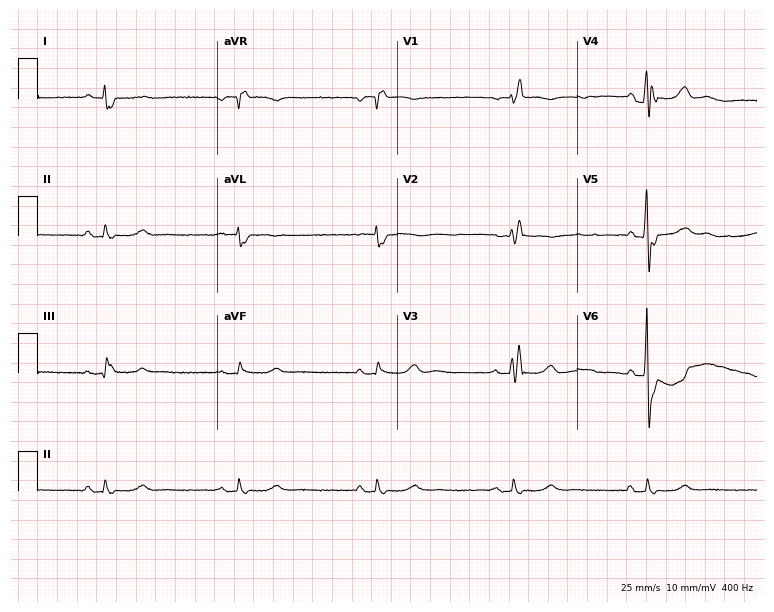
12-lead ECG from a 60-year-old man (7.3-second recording at 400 Hz). Shows right bundle branch block (RBBB), sinus bradycardia (a sinus rate of 50 beats per minute or less).